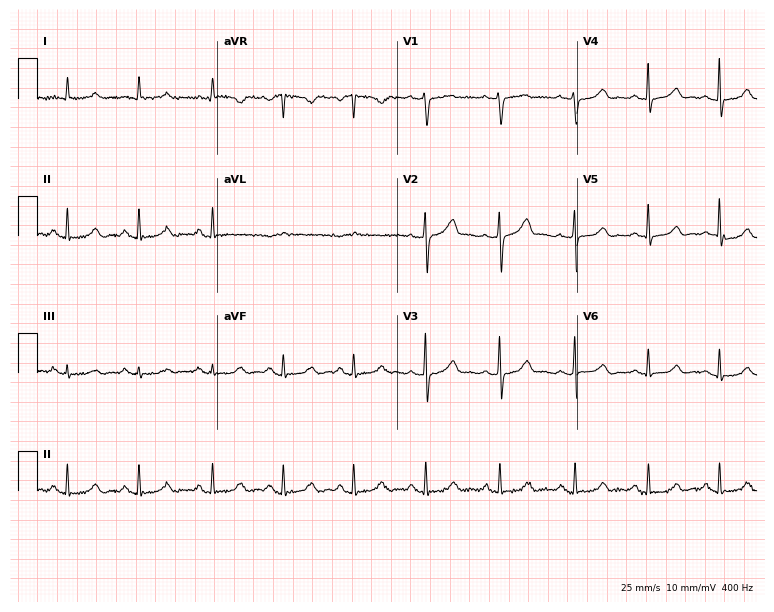
Standard 12-lead ECG recorded from a 44-year-old female. Read as a normal ECG.